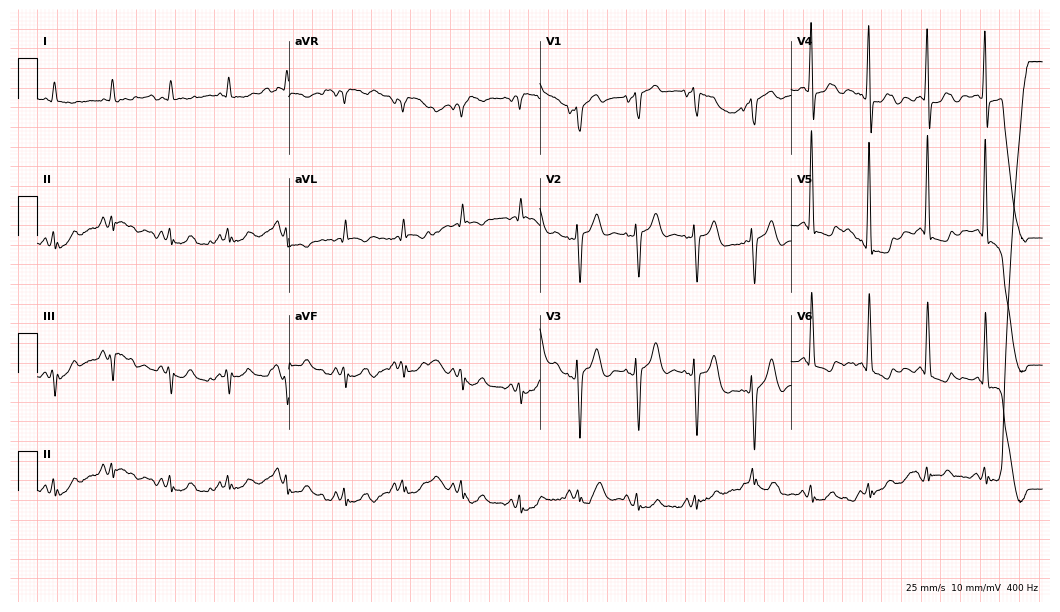
Standard 12-lead ECG recorded from an 85-year-old female. None of these six findings is recorded: first-degree AV block, right bundle branch block (RBBB), left bundle branch block (LBBB), sinus bradycardia, atrial fibrillation (AF), sinus tachycardia.